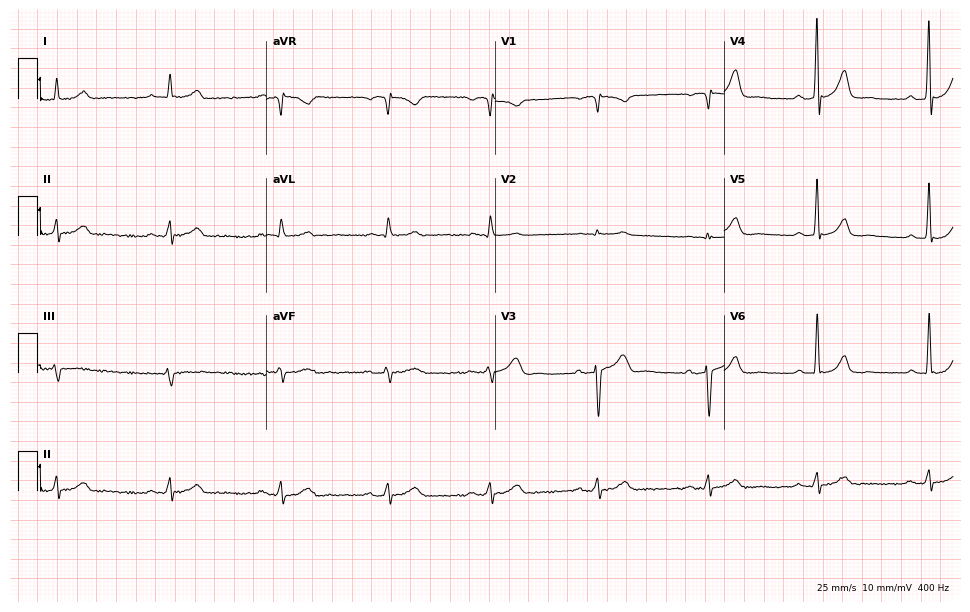
Standard 12-lead ECG recorded from a 55-year-old male patient. None of these six findings is recorded: first-degree AV block, right bundle branch block (RBBB), left bundle branch block (LBBB), sinus bradycardia, atrial fibrillation (AF), sinus tachycardia. Only these six findings were labelled.